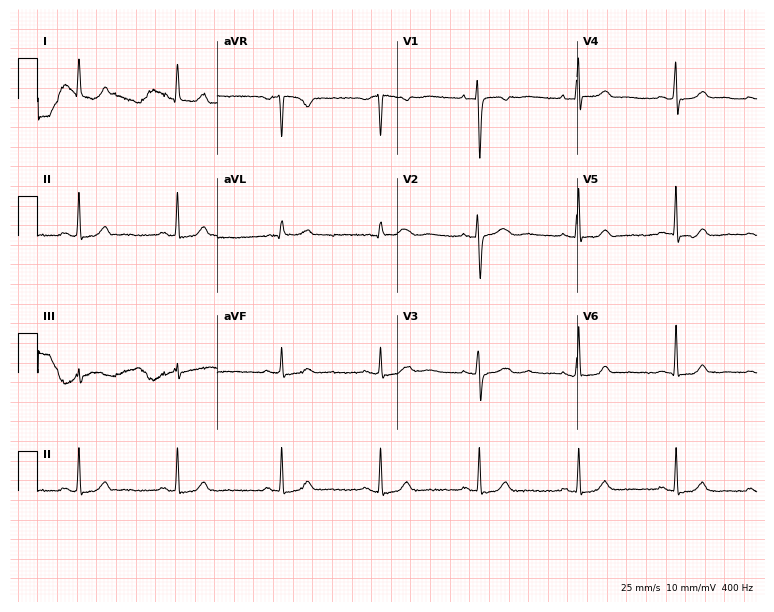
Resting 12-lead electrocardiogram (7.3-second recording at 400 Hz). Patient: a 31-year-old female. Read as a normal ECG.